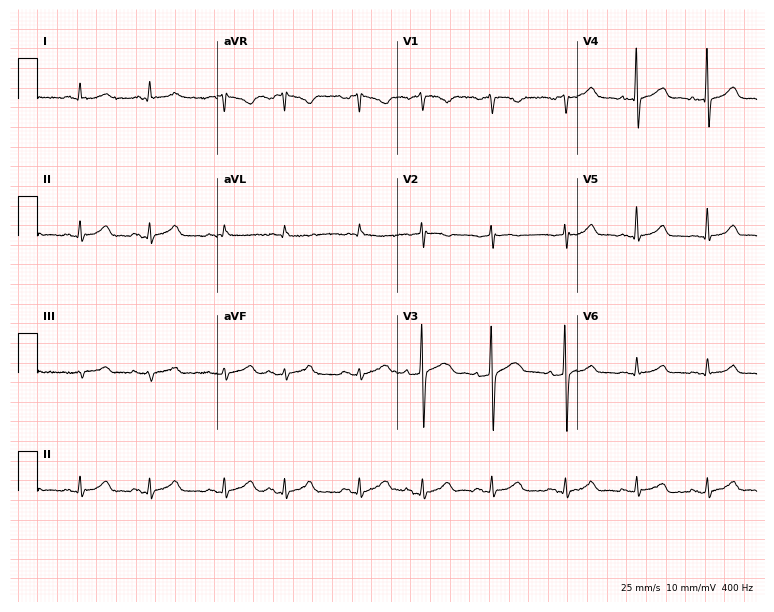
Standard 12-lead ECG recorded from a male, 74 years old. Read as a normal ECG.